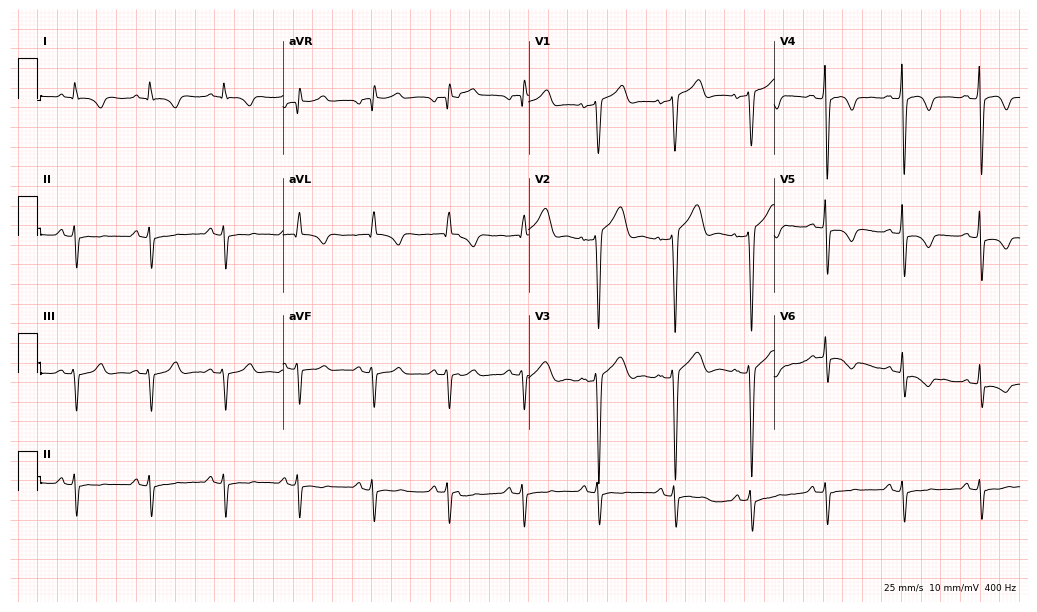
Resting 12-lead electrocardiogram (10-second recording at 400 Hz). Patient: a male, 59 years old. None of these six findings is recorded: first-degree AV block, right bundle branch block, left bundle branch block, sinus bradycardia, atrial fibrillation, sinus tachycardia. Other findings, if any, are not listed.